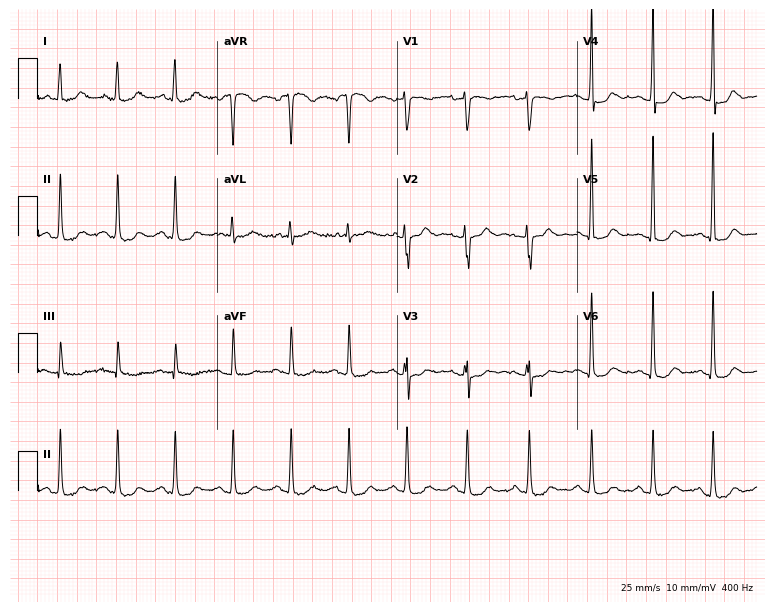
Resting 12-lead electrocardiogram (7.3-second recording at 400 Hz). Patient: a 42-year-old female. None of these six findings is recorded: first-degree AV block, right bundle branch block, left bundle branch block, sinus bradycardia, atrial fibrillation, sinus tachycardia. Findings outside these six are not listed.